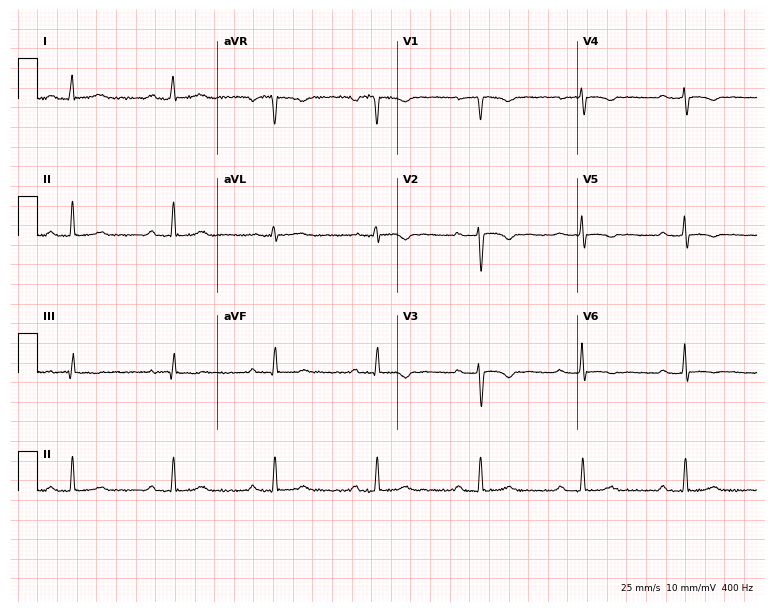
12-lead ECG from a female patient, 47 years old (7.3-second recording at 400 Hz). Shows first-degree AV block.